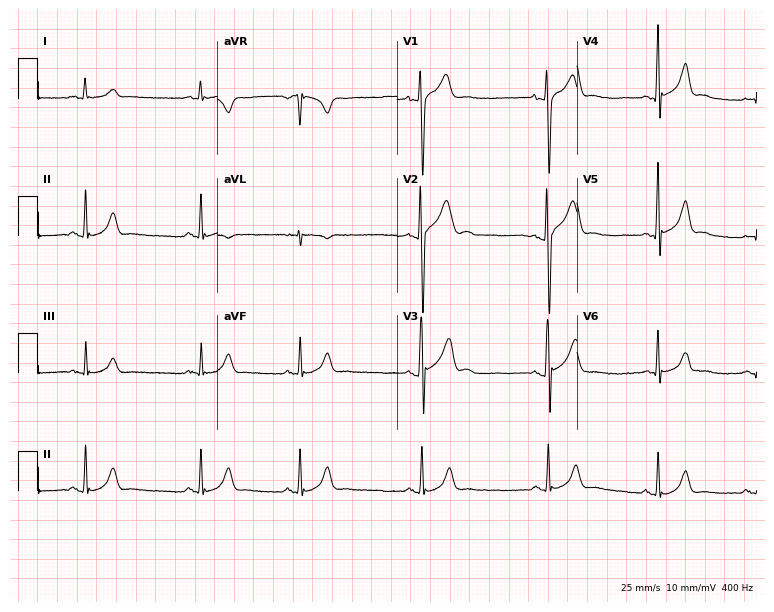
12-lead ECG (7.3-second recording at 400 Hz) from an 18-year-old man. Screened for six findings — first-degree AV block, right bundle branch block (RBBB), left bundle branch block (LBBB), sinus bradycardia, atrial fibrillation (AF), sinus tachycardia — none is recorded.